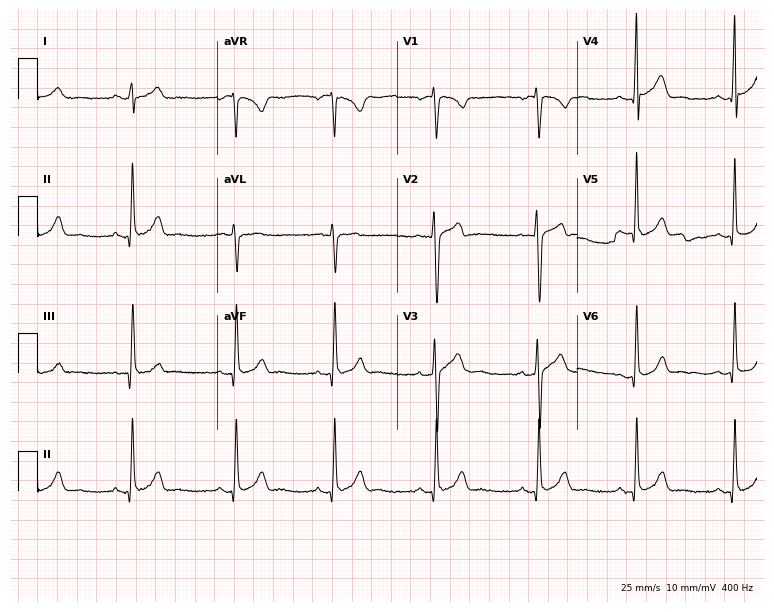
ECG — a male, 23 years old. Labelled as a normal ECG.